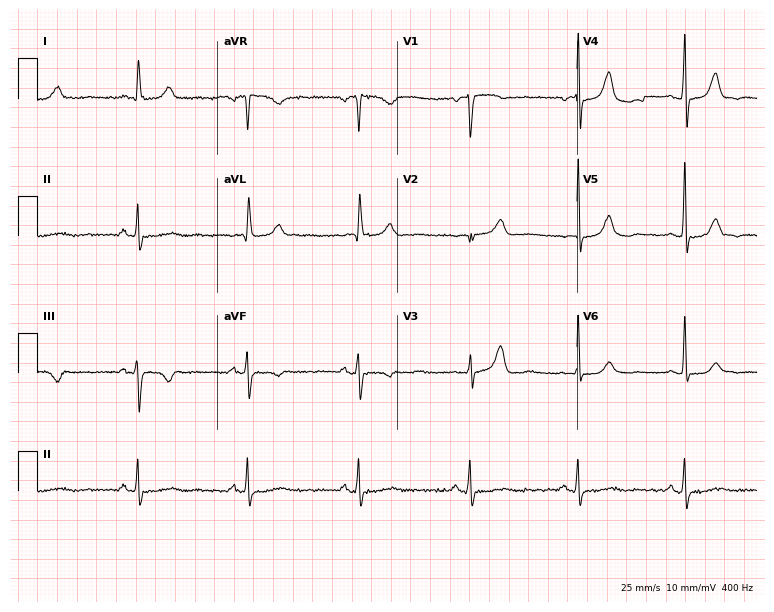
Standard 12-lead ECG recorded from a woman, 77 years old. None of these six findings is recorded: first-degree AV block, right bundle branch block, left bundle branch block, sinus bradycardia, atrial fibrillation, sinus tachycardia. Other findings, if any, are not listed.